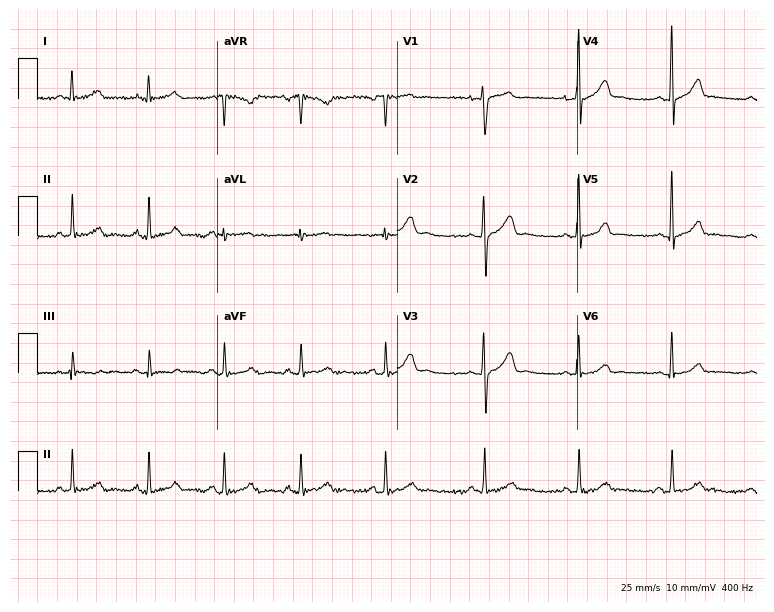
Resting 12-lead electrocardiogram. Patient: a 34-year-old man. Read as a normal ECG.